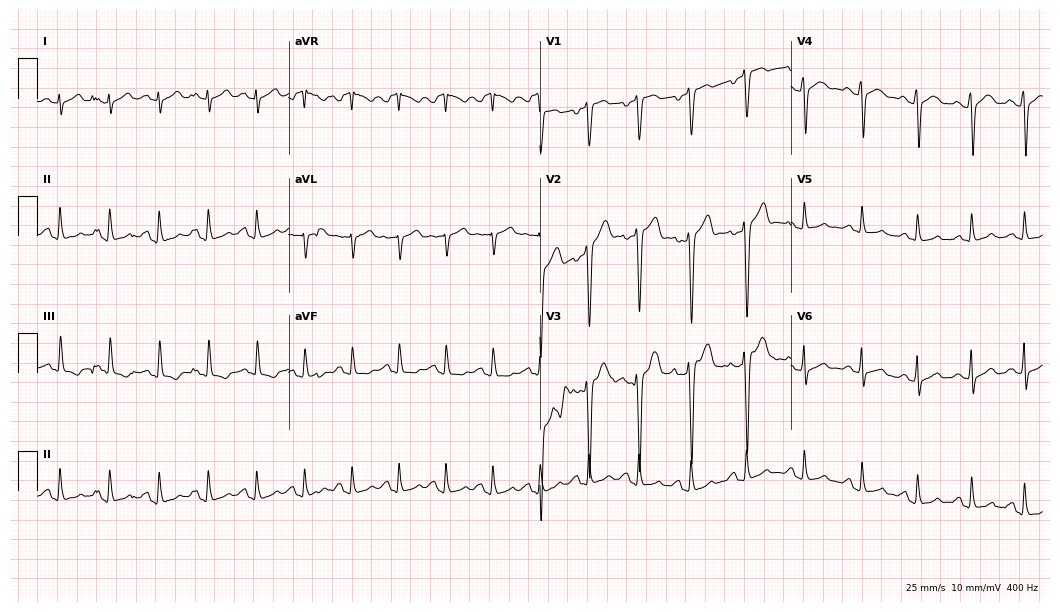
Electrocardiogram (10.2-second recording at 400 Hz), a 28-year-old male. Interpretation includes sinus tachycardia (a sinus rate of 100 beats per minute or more).